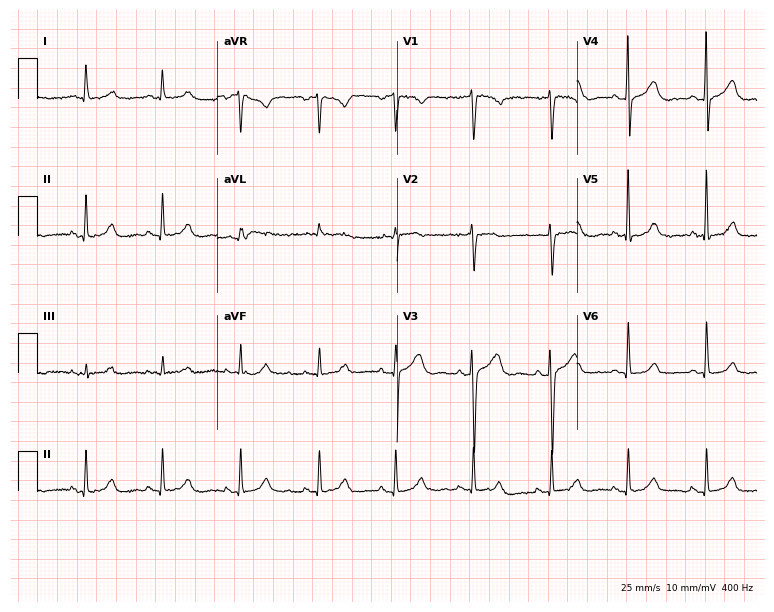
Standard 12-lead ECG recorded from a 61-year-old woman (7.3-second recording at 400 Hz). Read as a normal ECG.